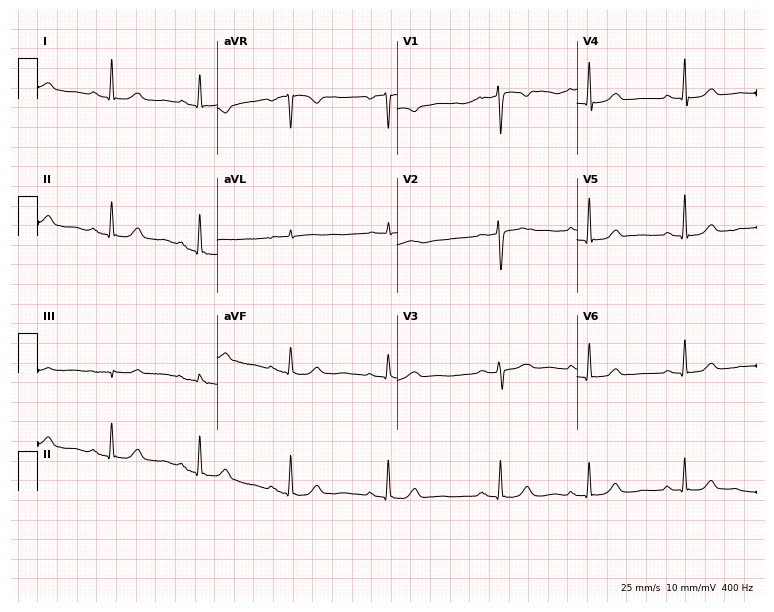
12-lead ECG from a woman, 51 years old. Screened for six findings — first-degree AV block, right bundle branch block, left bundle branch block, sinus bradycardia, atrial fibrillation, sinus tachycardia — none is recorded. Findings outside these six are not listed.